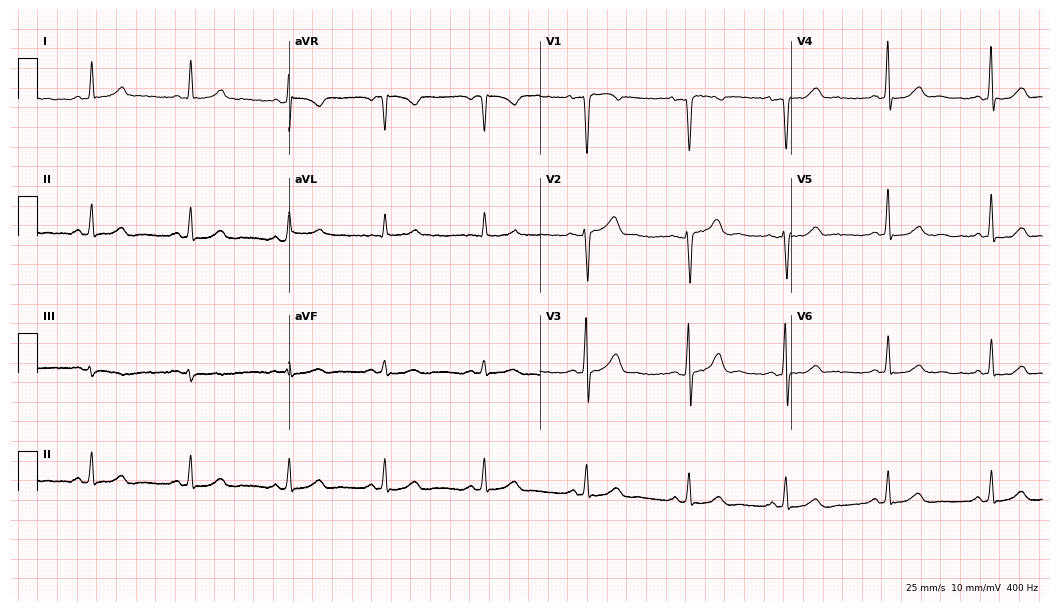
ECG (10.2-second recording at 400 Hz) — a woman, 45 years old. Labelled as a normal ECG.